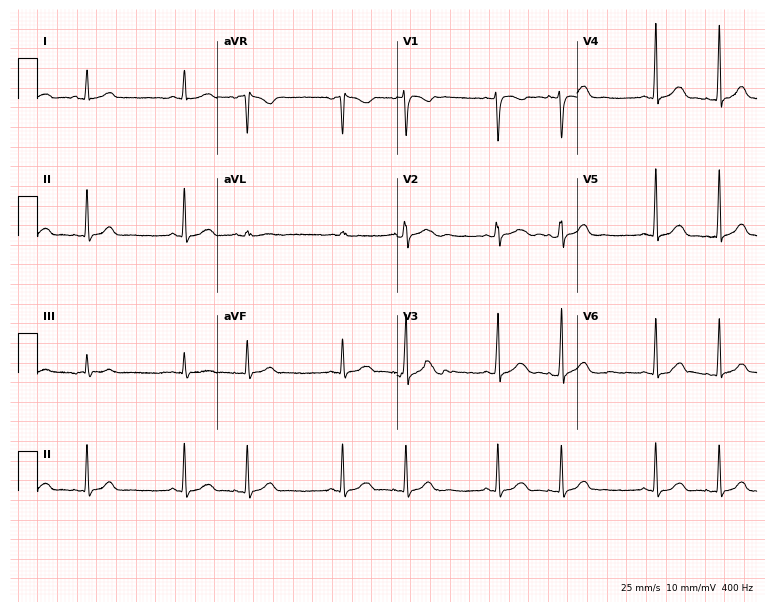
ECG — a female, 18 years old. Screened for six findings — first-degree AV block, right bundle branch block (RBBB), left bundle branch block (LBBB), sinus bradycardia, atrial fibrillation (AF), sinus tachycardia — none is recorded.